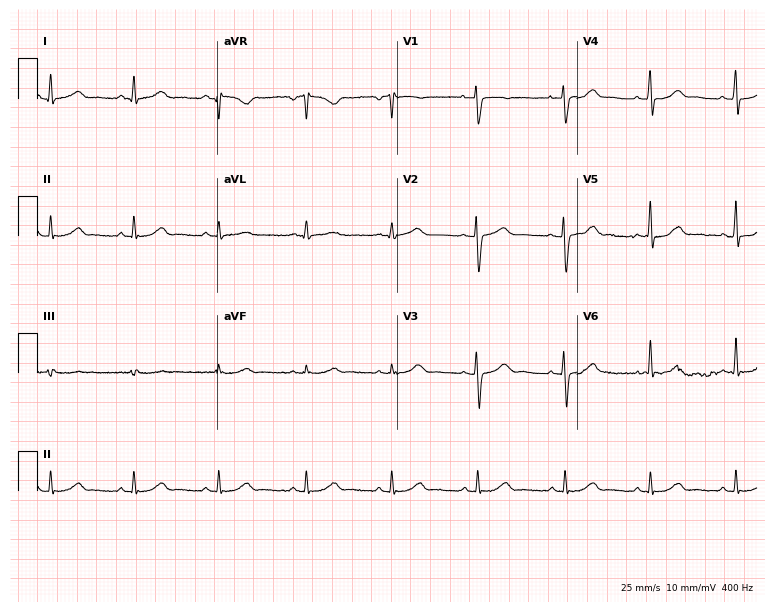
Standard 12-lead ECG recorded from a 40-year-old female patient (7.3-second recording at 400 Hz). Read as a normal ECG.